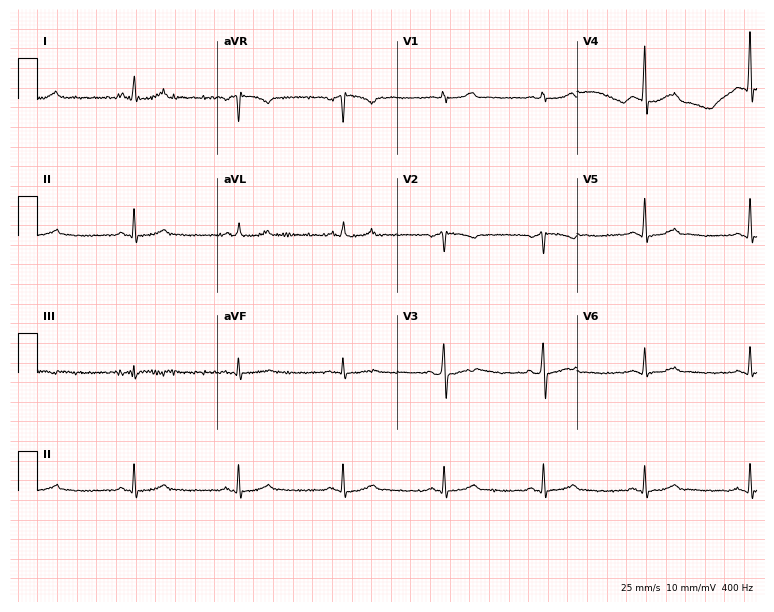
Electrocardiogram (7.3-second recording at 400 Hz), a male, 56 years old. Of the six screened findings (first-degree AV block, right bundle branch block, left bundle branch block, sinus bradycardia, atrial fibrillation, sinus tachycardia), none is recorded.